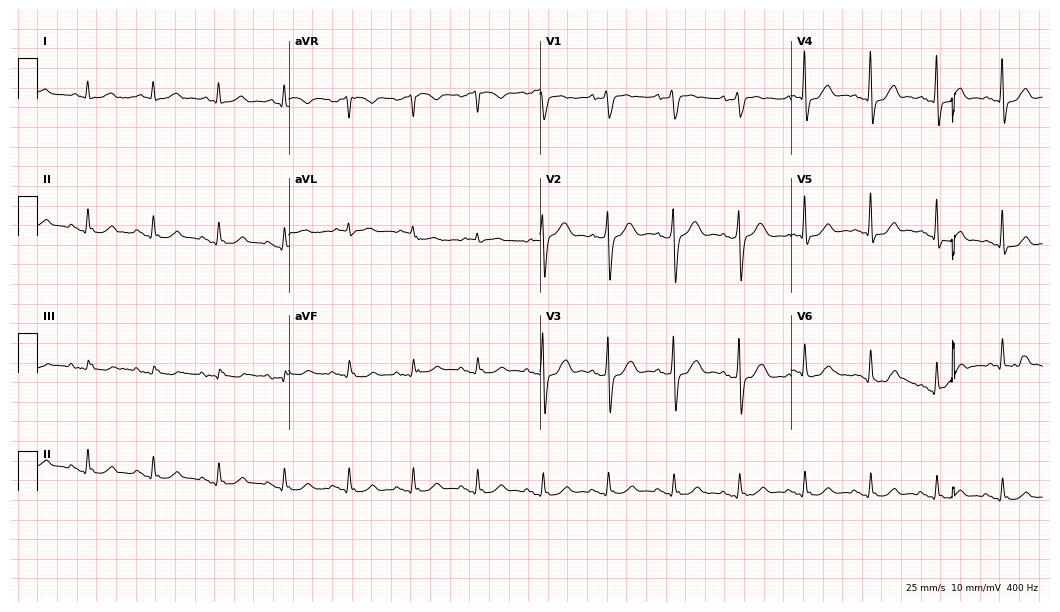
12-lead ECG from a 57-year-old male patient. Screened for six findings — first-degree AV block, right bundle branch block, left bundle branch block, sinus bradycardia, atrial fibrillation, sinus tachycardia — none is recorded. Findings outside these six are not listed.